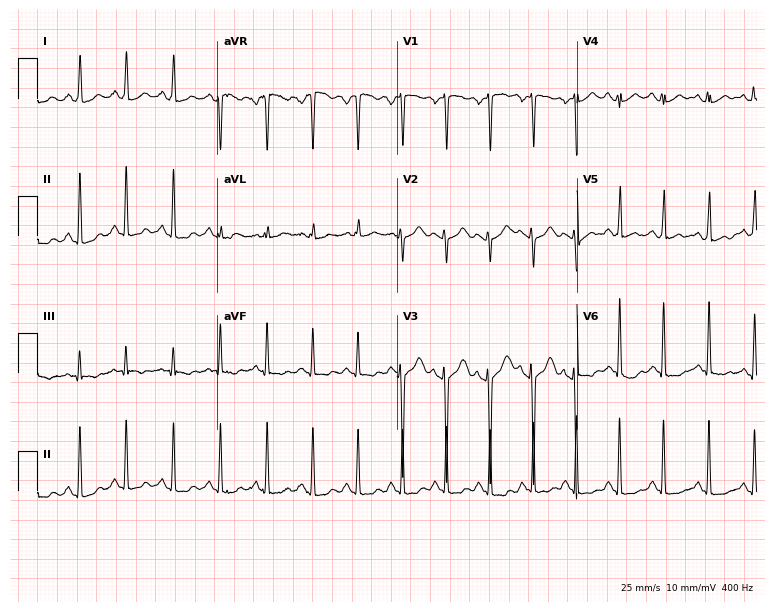
Electrocardiogram, a 20-year-old female patient. Interpretation includes sinus tachycardia (a sinus rate of 100 beats per minute or more).